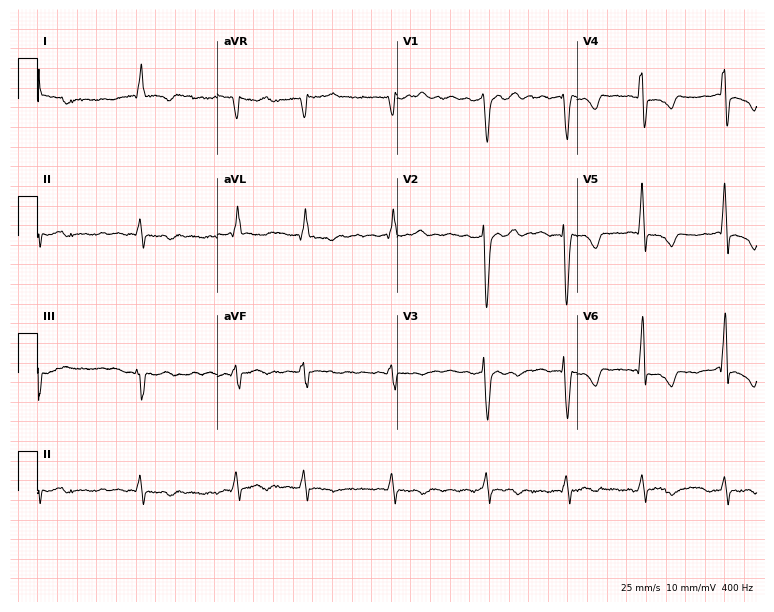
Resting 12-lead electrocardiogram. Patient: a woman, 77 years old. The tracing shows atrial fibrillation.